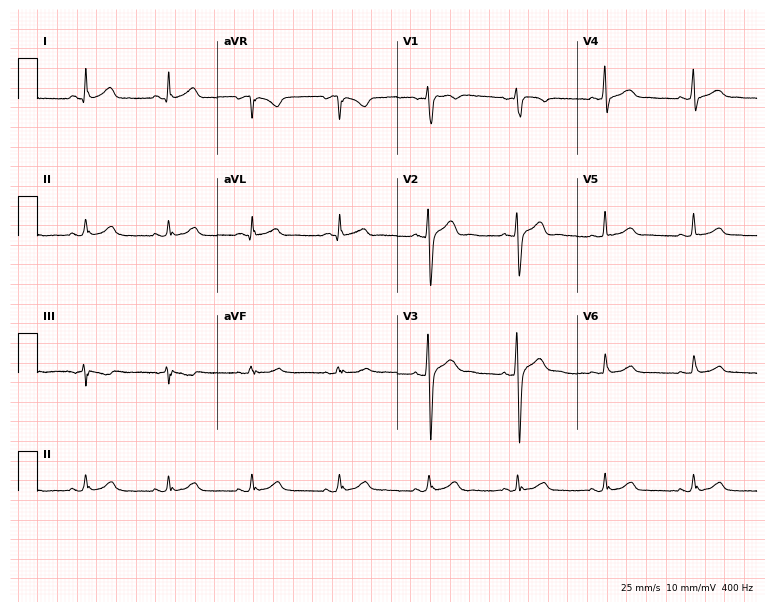
ECG — a man, 28 years old. Screened for six findings — first-degree AV block, right bundle branch block, left bundle branch block, sinus bradycardia, atrial fibrillation, sinus tachycardia — none is recorded.